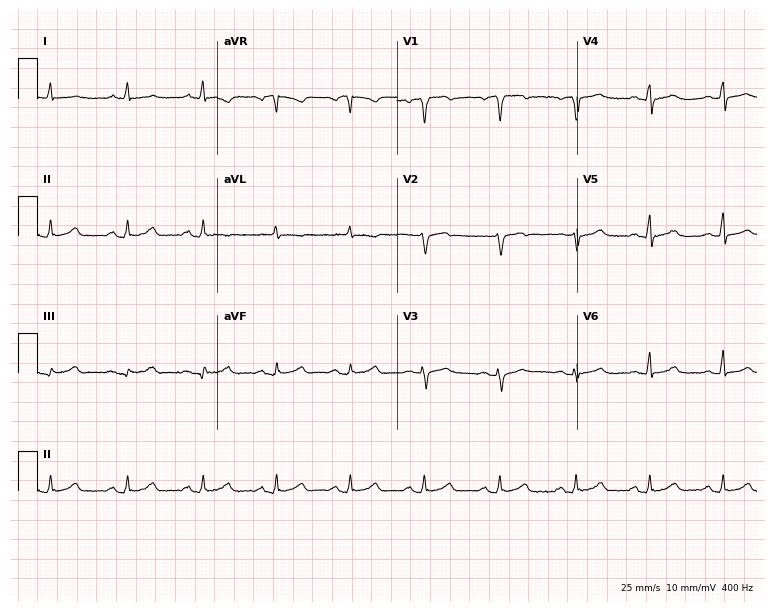
ECG — a 71-year-old male. Screened for six findings — first-degree AV block, right bundle branch block, left bundle branch block, sinus bradycardia, atrial fibrillation, sinus tachycardia — none is recorded.